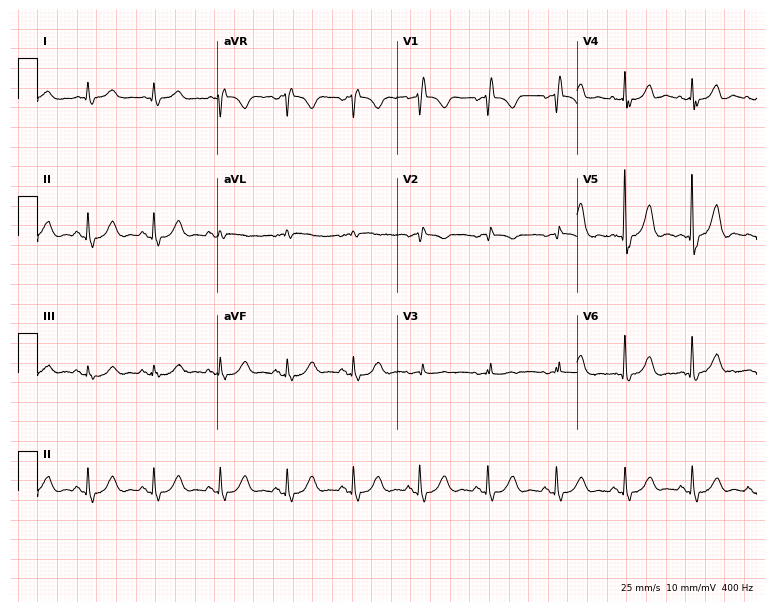
Electrocardiogram (7.3-second recording at 400 Hz), a 76-year-old woman. Of the six screened findings (first-degree AV block, right bundle branch block, left bundle branch block, sinus bradycardia, atrial fibrillation, sinus tachycardia), none is recorded.